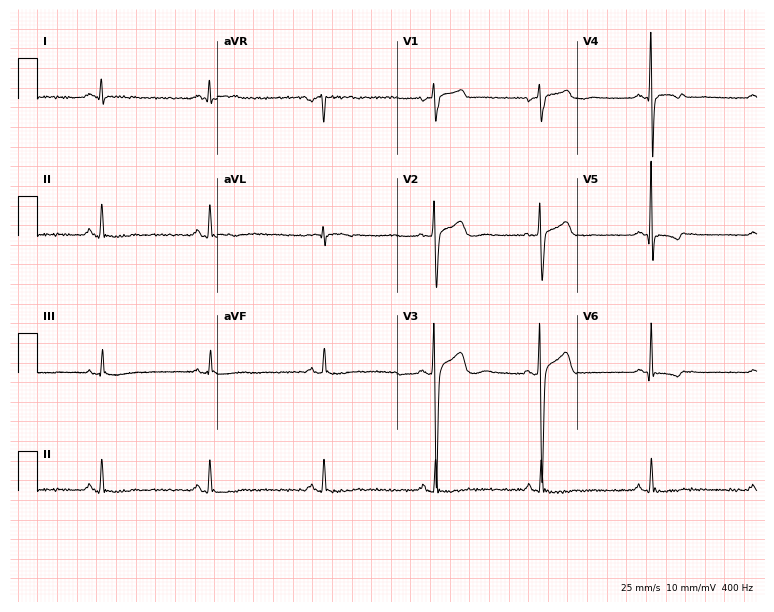
12-lead ECG (7.3-second recording at 400 Hz) from a 34-year-old woman. Screened for six findings — first-degree AV block, right bundle branch block, left bundle branch block, sinus bradycardia, atrial fibrillation, sinus tachycardia — none is recorded.